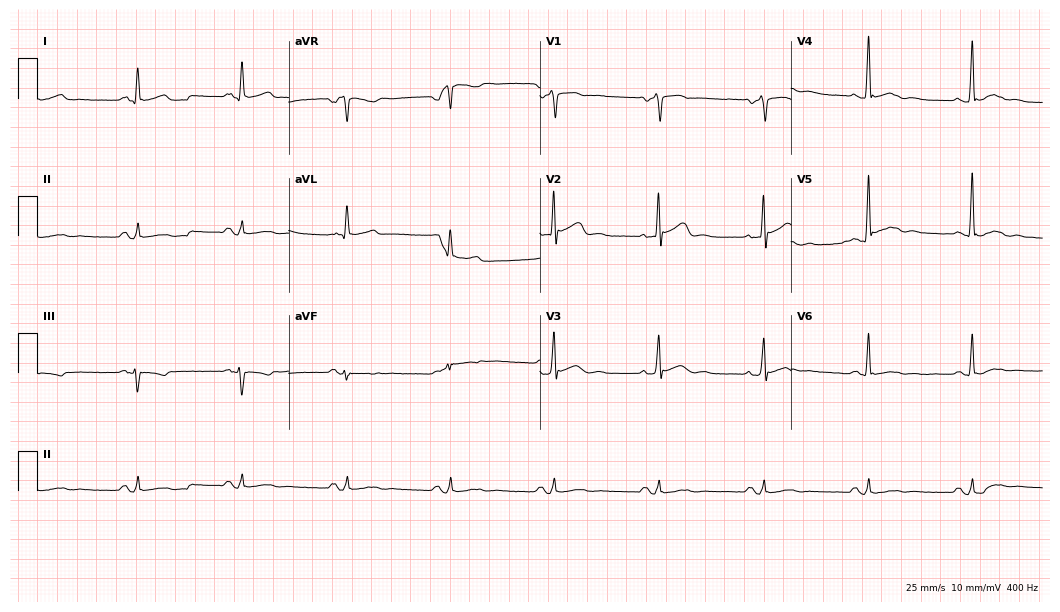
12-lead ECG (10.2-second recording at 400 Hz) from a male, 51 years old. Screened for six findings — first-degree AV block, right bundle branch block, left bundle branch block, sinus bradycardia, atrial fibrillation, sinus tachycardia — none is recorded.